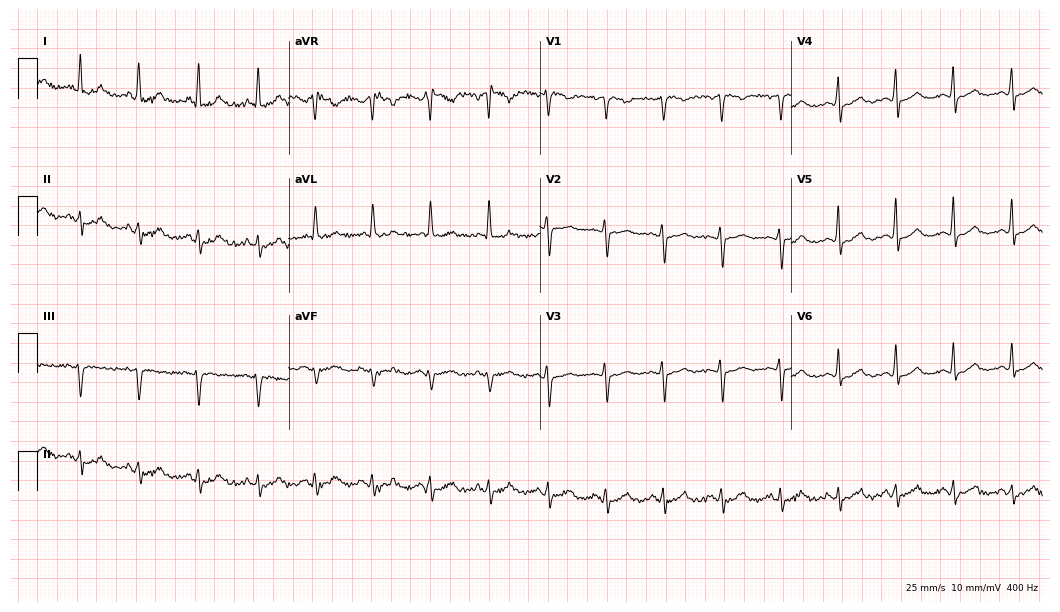
Standard 12-lead ECG recorded from a 37-year-old female patient (10.2-second recording at 400 Hz). The tracing shows sinus tachycardia (a sinus rate of 100 beats per minute or more).